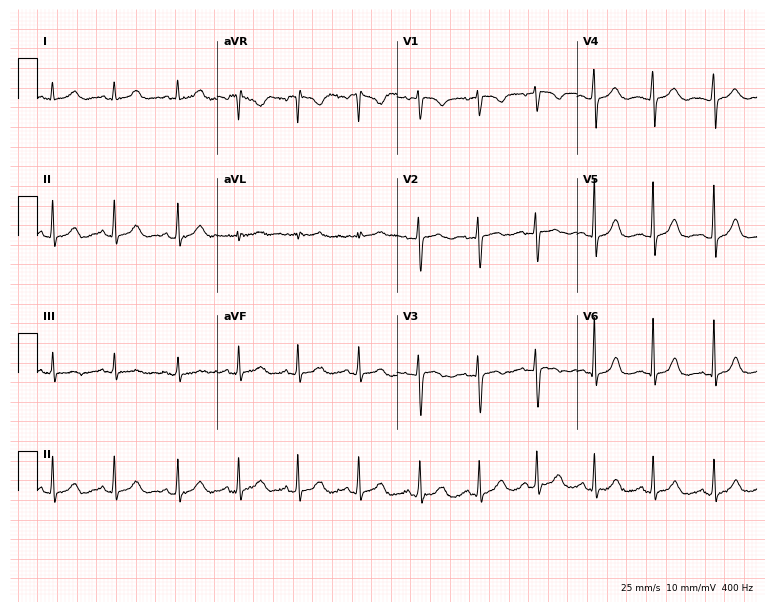
Electrocardiogram, a woman, 38 years old. Overall reading on record: normal ECG.